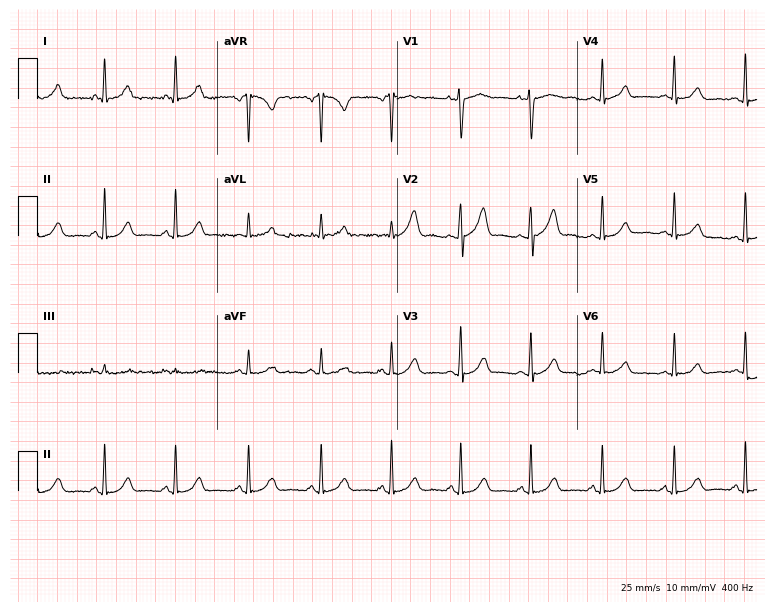
ECG — a 42-year-old female. Labelled as a normal ECG.